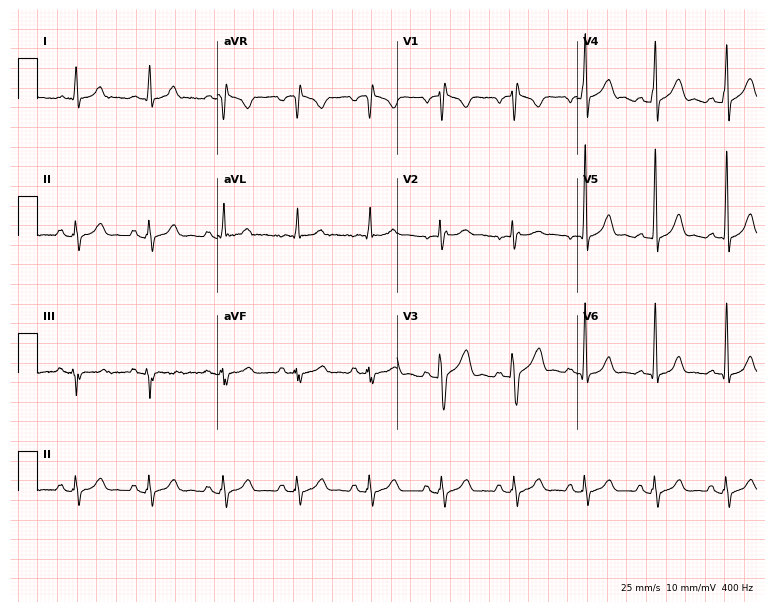
Resting 12-lead electrocardiogram (7.3-second recording at 400 Hz). Patient: a 30-year-old male. Read as a normal ECG.